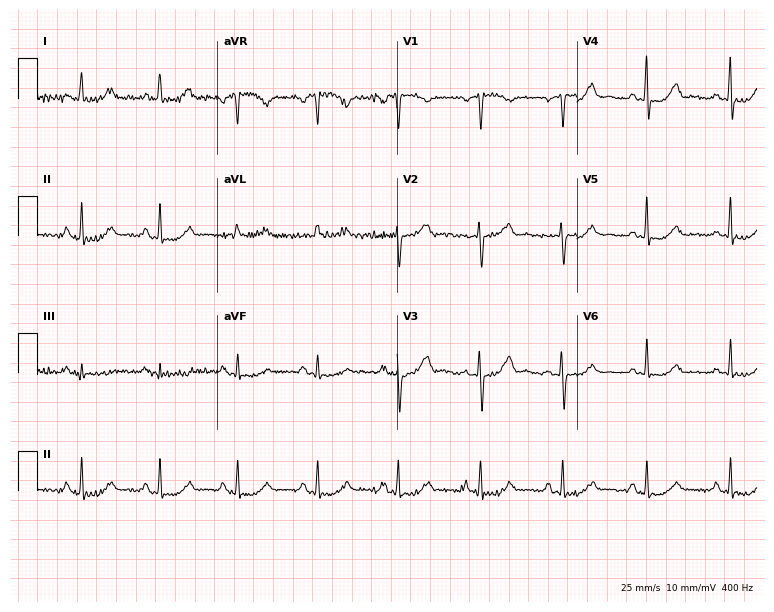
ECG — a 60-year-old female. Screened for six findings — first-degree AV block, right bundle branch block, left bundle branch block, sinus bradycardia, atrial fibrillation, sinus tachycardia — none is recorded. Other findings, if any, are not listed.